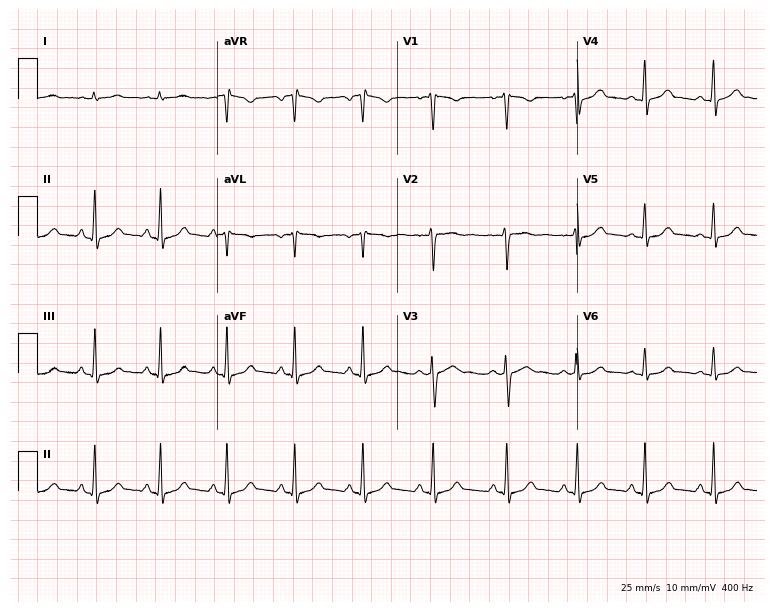
12-lead ECG (7.3-second recording at 400 Hz) from a 19-year-old woman. Labelled as a normal ECG.